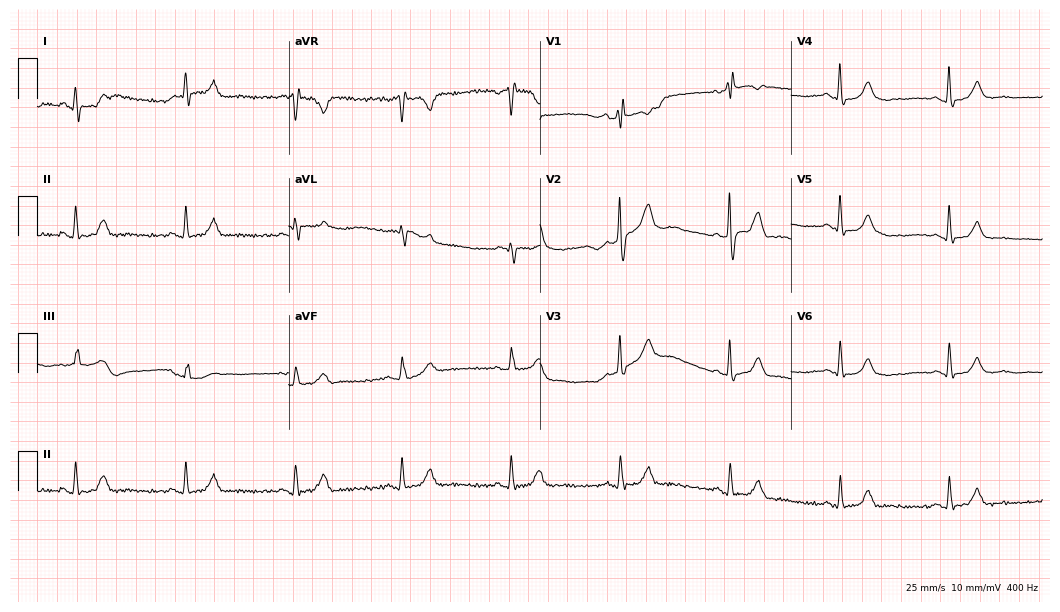
12-lead ECG (10.2-second recording at 400 Hz) from a 72-year-old female. Screened for six findings — first-degree AV block, right bundle branch block, left bundle branch block, sinus bradycardia, atrial fibrillation, sinus tachycardia — none is recorded.